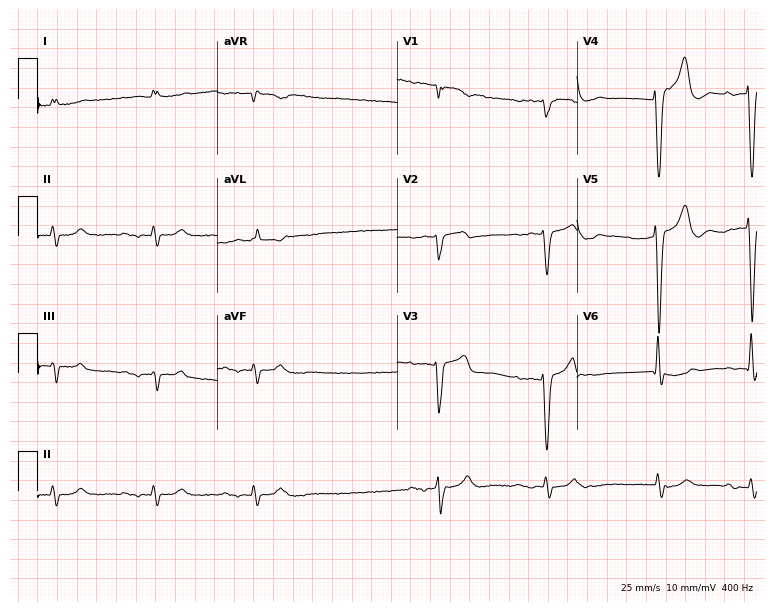
Resting 12-lead electrocardiogram (7.3-second recording at 400 Hz). Patient: a man, 81 years old. None of these six findings is recorded: first-degree AV block, right bundle branch block (RBBB), left bundle branch block (LBBB), sinus bradycardia, atrial fibrillation (AF), sinus tachycardia. Only these six findings were labelled.